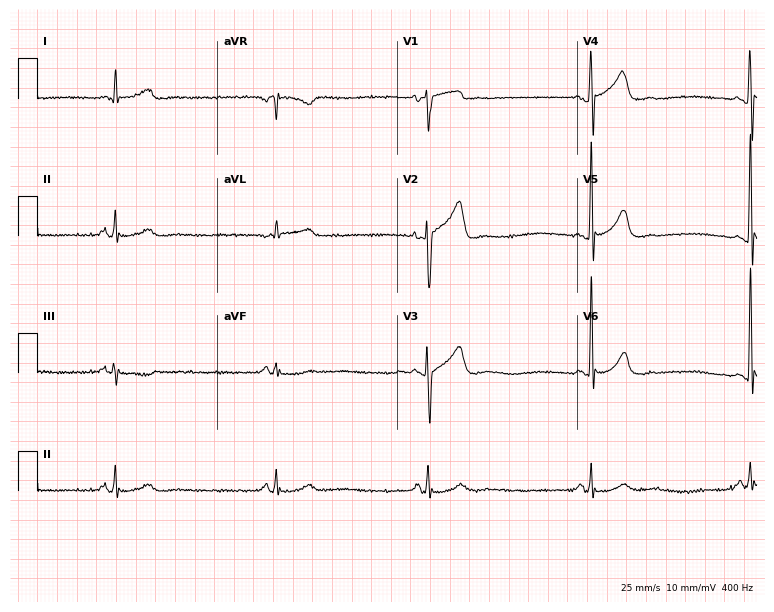
ECG — a male patient, 55 years old. Findings include sinus bradycardia (a sinus rate of 50 beats per minute or less).